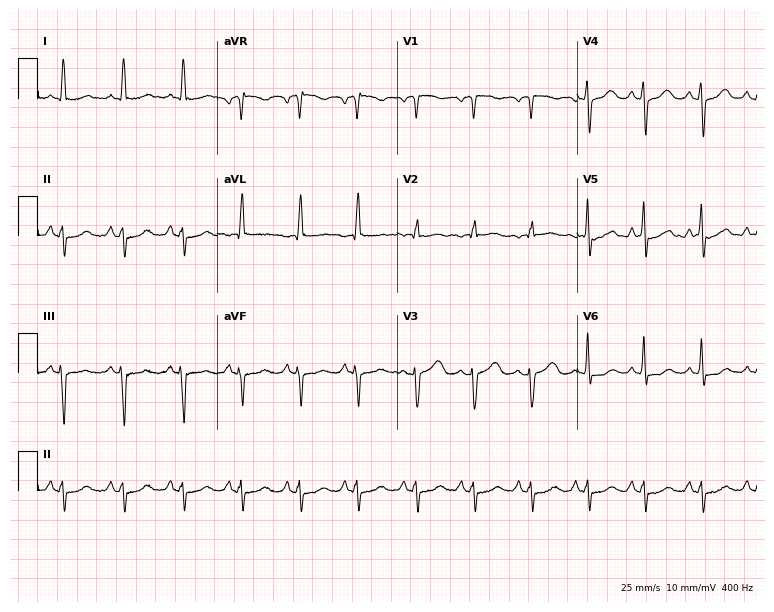
Resting 12-lead electrocardiogram (7.3-second recording at 400 Hz). Patient: a female, 78 years old. The tracing shows sinus tachycardia (a sinus rate of 100 beats per minute or more).